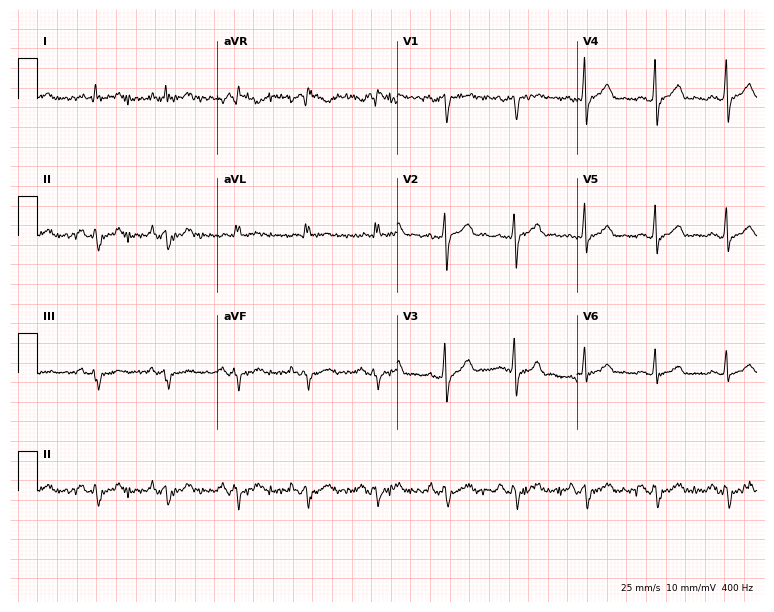
Resting 12-lead electrocardiogram (7.3-second recording at 400 Hz). Patient: a male, 59 years old. None of these six findings is recorded: first-degree AV block, right bundle branch block, left bundle branch block, sinus bradycardia, atrial fibrillation, sinus tachycardia. Findings outside these six are not listed.